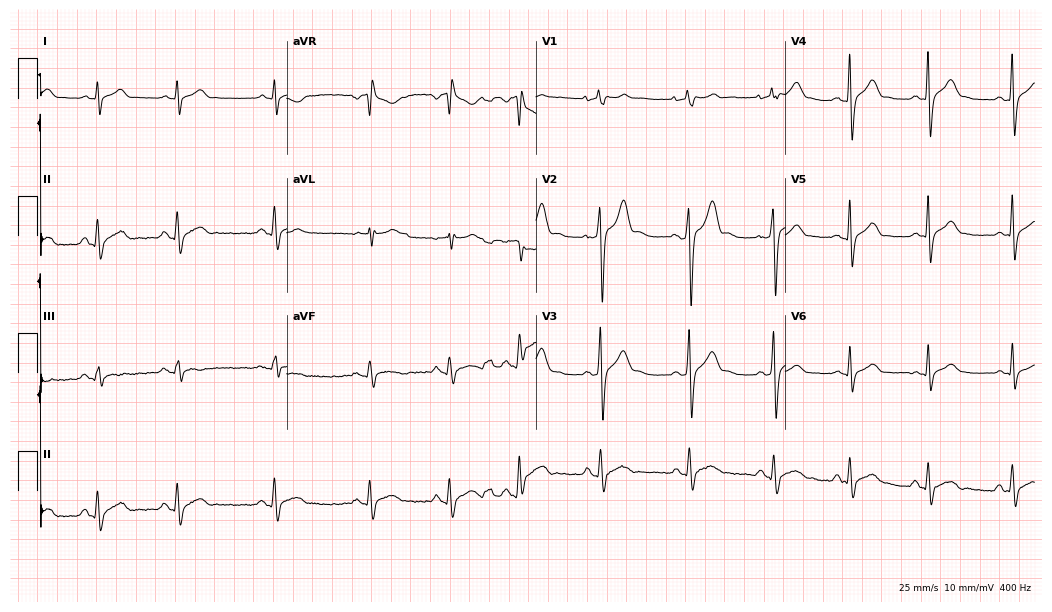
ECG (10.2-second recording at 400 Hz) — a 26-year-old man. Screened for six findings — first-degree AV block, right bundle branch block, left bundle branch block, sinus bradycardia, atrial fibrillation, sinus tachycardia — none is recorded. Findings outside these six are not listed.